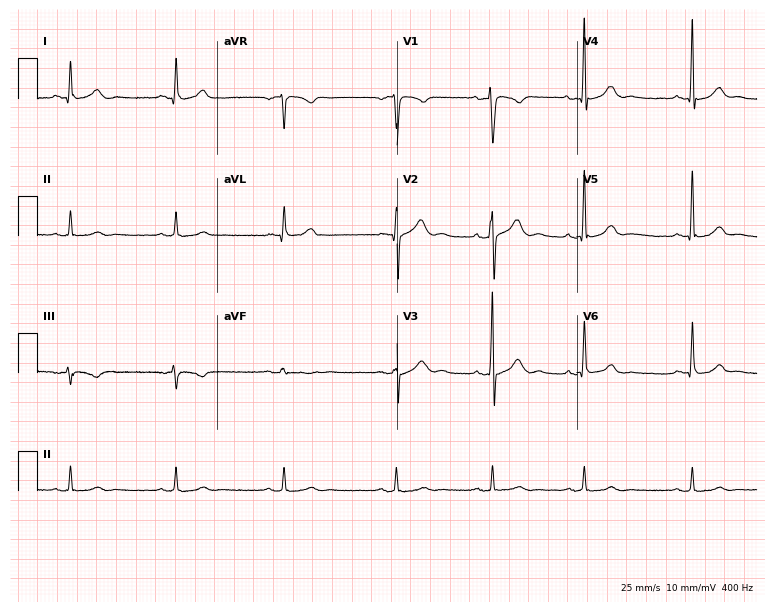
12-lead ECG from a 35-year-old male (7.3-second recording at 400 Hz). Recorded interpretation: within normal limits.